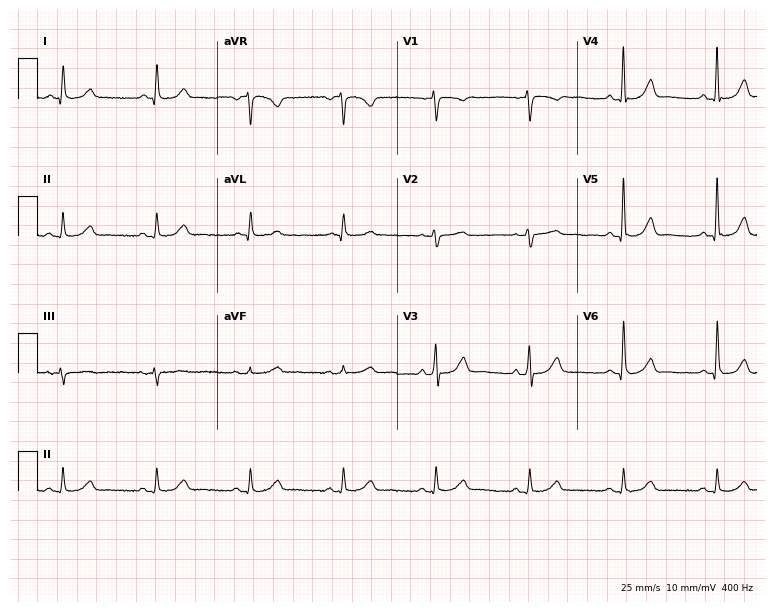
Electrocardiogram (7.3-second recording at 400 Hz), a woman, 59 years old. Overall reading on record: normal ECG.